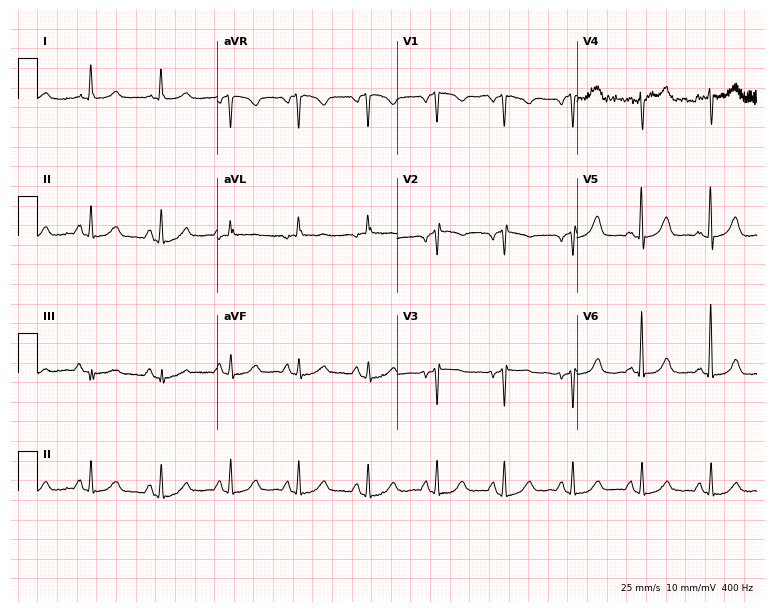
ECG (7.3-second recording at 400 Hz) — a female patient, 67 years old. Screened for six findings — first-degree AV block, right bundle branch block, left bundle branch block, sinus bradycardia, atrial fibrillation, sinus tachycardia — none is recorded.